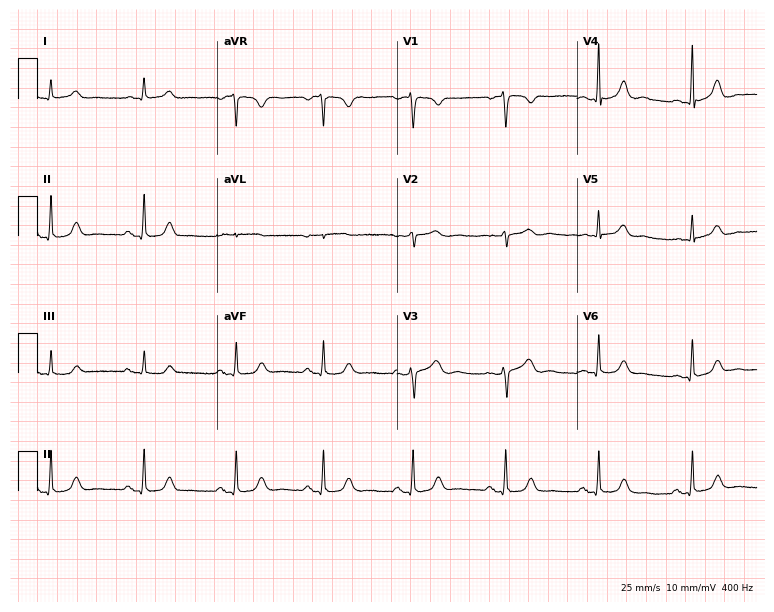
Standard 12-lead ECG recorded from a 57-year-old female (7.3-second recording at 400 Hz). Read as a normal ECG.